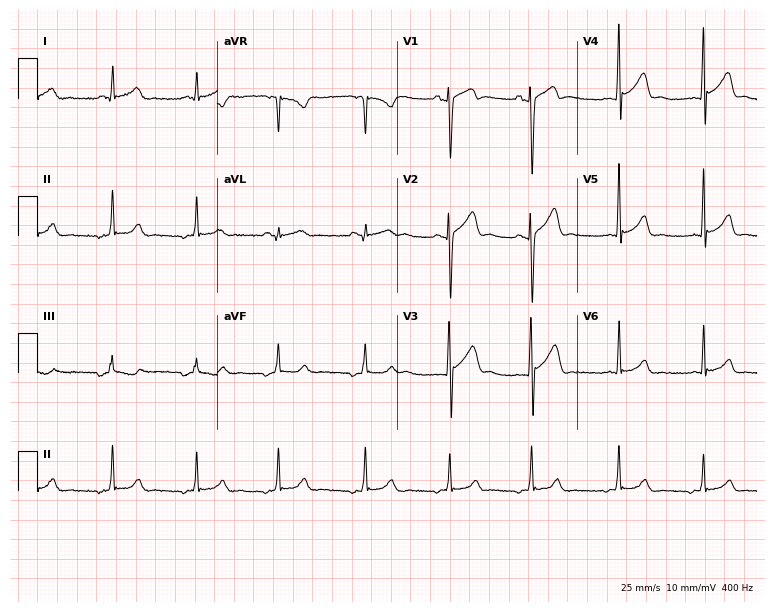
Standard 12-lead ECG recorded from a woman, 21 years old. None of these six findings is recorded: first-degree AV block, right bundle branch block, left bundle branch block, sinus bradycardia, atrial fibrillation, sinus tachycardia.